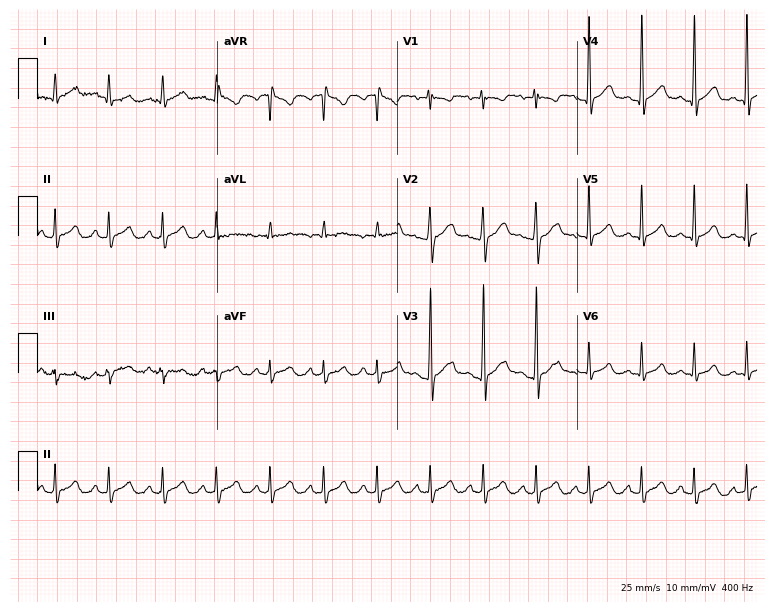
12-lead ECG from a male patient, 21 years old. Findings include sinus tachycardia (a sinus rate of 100 beats per minute or more).